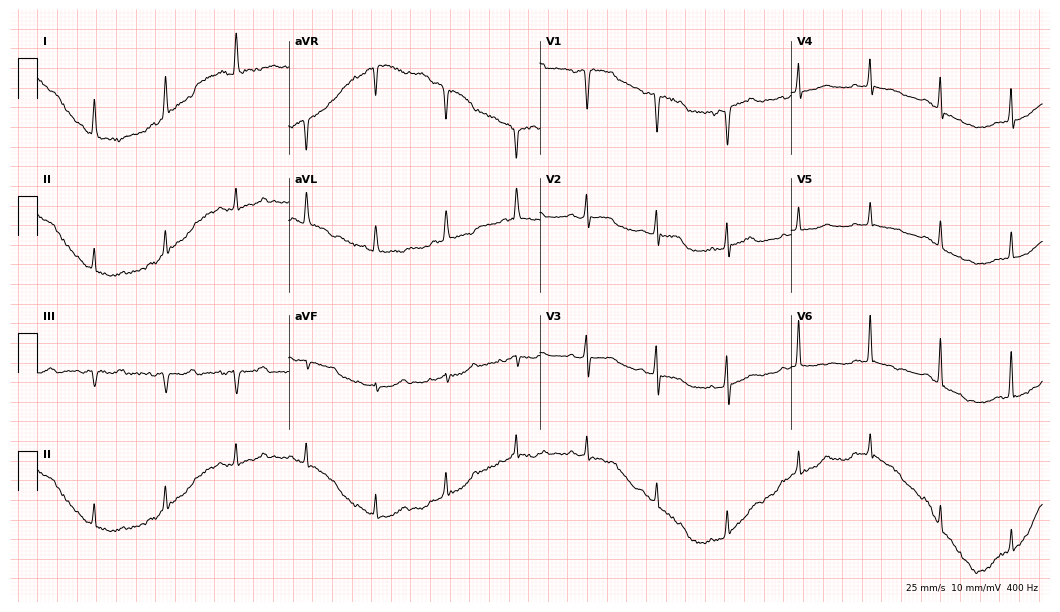
Standard 12-lead ECG recorded from a 62-year-old woman. None of these six findings is recorded: first-degree AV block, right bundle branch block, left bundle branch block, sinus bradycardia, atrial fibrillation, sinus tachycardia.